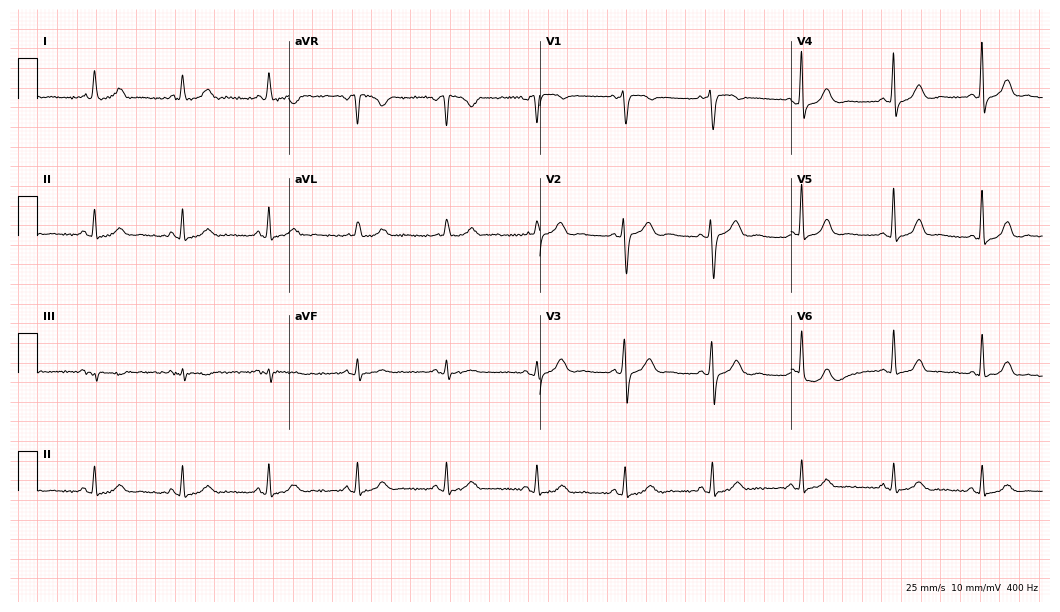
Resting 12-lead electrocardiogram. Patient: a woman, 64 years old. None of these six findings is recorded: first-degree AV block, right bundle branch block, left bundle branch block, sinus bradycardia, atrial fibrillation, sinus tachycardia.